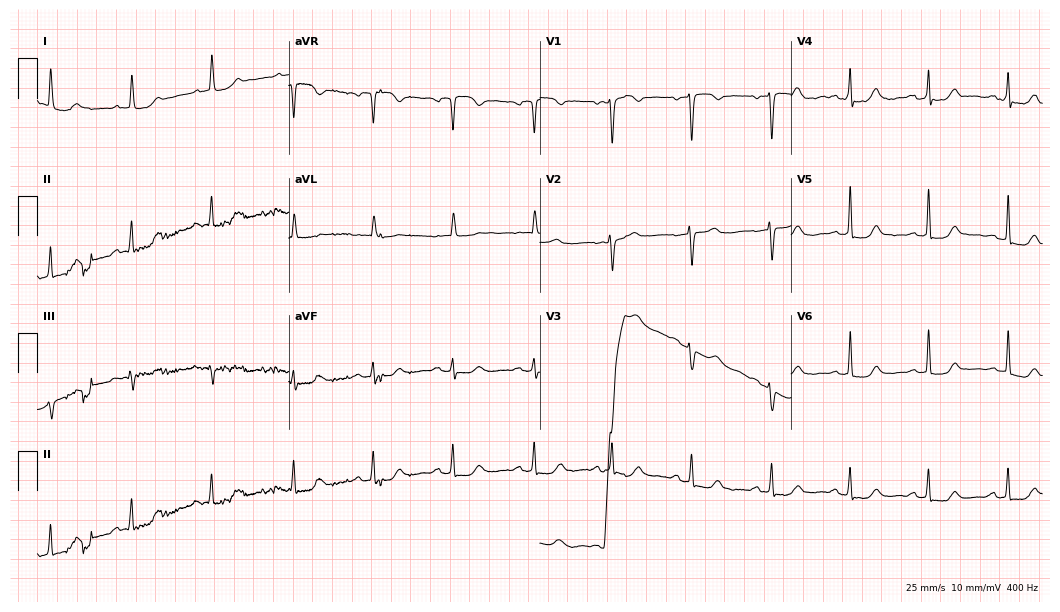
Standard 12-lead ECG recorded from a woman, 82 years old. None of these six findings is recorded: first-degree AV block, right bundle branch block (RBBB), left bundle branch block (LBBB), sinus bradycardia, atrial fibrillation (AF), sinus tachycardia.